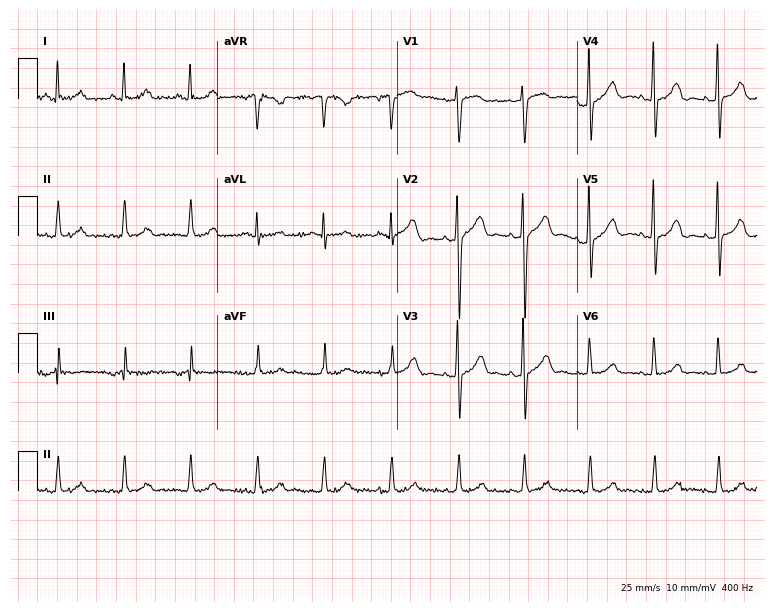
Electrocardiogram, a man, 40 years old. Of the six screened findings (first-degree AV block, right bundle branch block, left bundle branch block, sinus bradycardia, atrial fibrillation, sinus tachycardia), none is recorded.